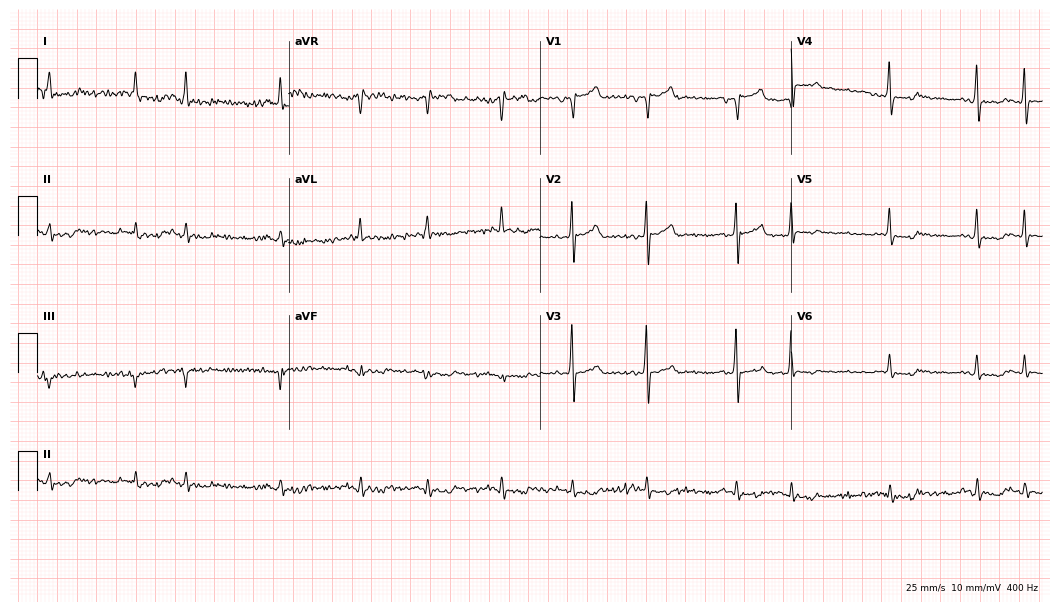
Electrocardiogram (10.2-second recording at 400 Hz), a 69-year-old male patient. Of the six screened findings (first-degree AV block, right bundle branch block, left bundle branch block, sinus bradycardia, atrial fibrillation, sinus tachycardia), none is recorded. Other findings, if any, are not listed.